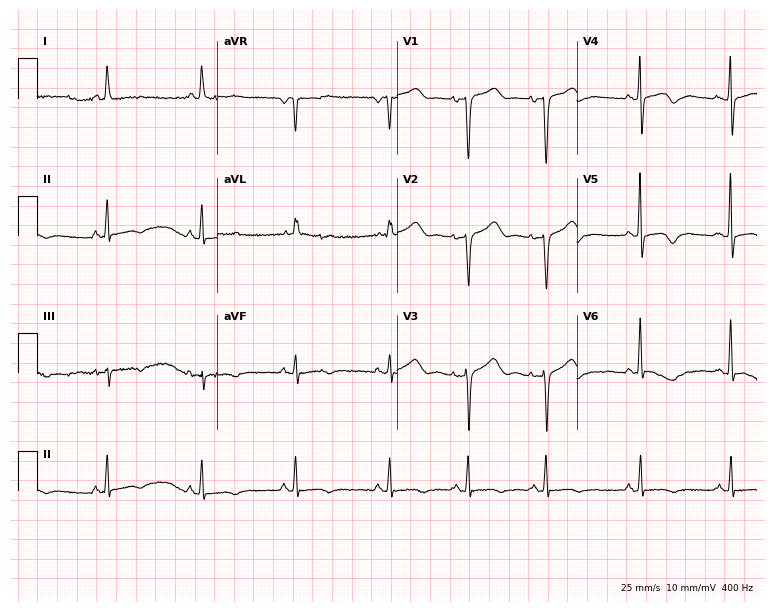
Resting 12-lead electrocardiogram. Patient: a woman, 81 years old. None of these six findings is recorded: first-degree AV block, right bundle branch block, left bundle branch block, sinus bradycardia, atrial fibrillation, sinus tachycardia.